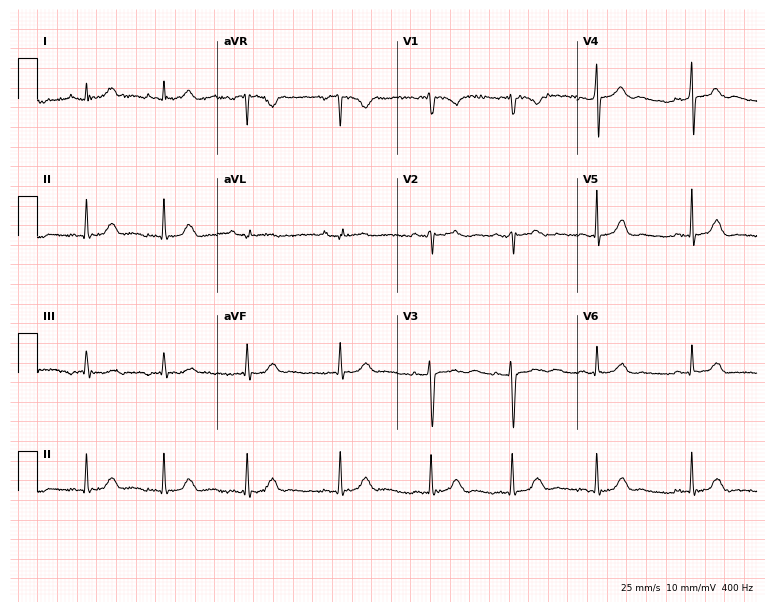
Resting 12-lead electrocardiogram. Patient: a 24-year-old female. None of these six findings is recorded: first-degree AV block, right bundle branch block, left bundle branch block, sinus bradycardia, atrial fibrillation, sinus tachycardia. Only these six findings were labelled.